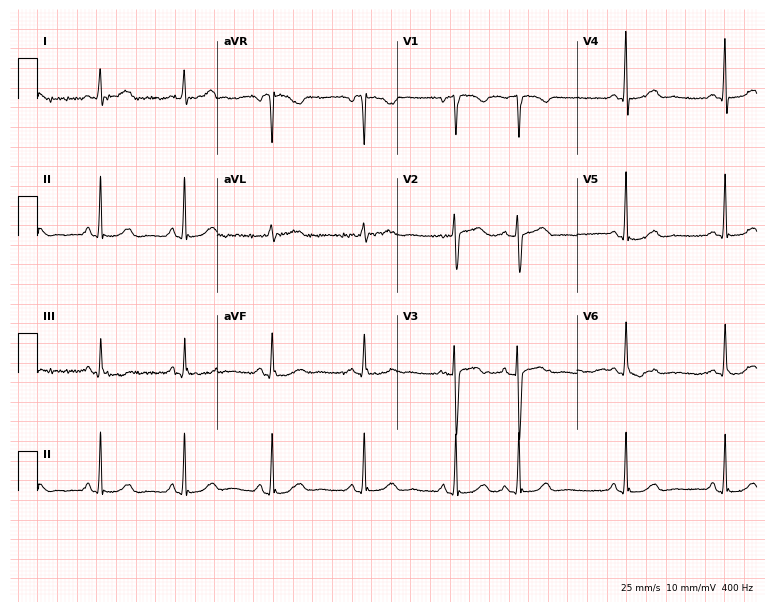
12-lead ECG from a 54-year-old female. Recorded interpretation: within normal limits.